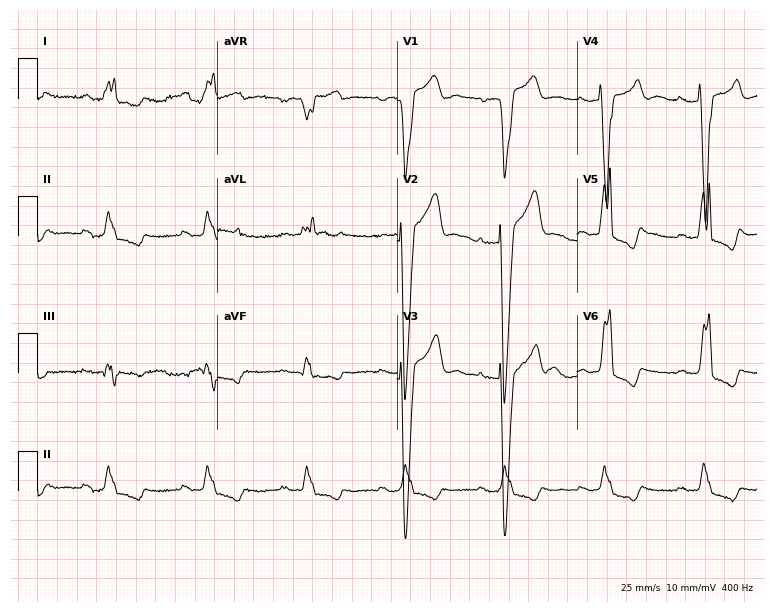
Electrocardiogram, a 69-year-old man. Interpretation includes first-degree AV block, left bundle branch block.